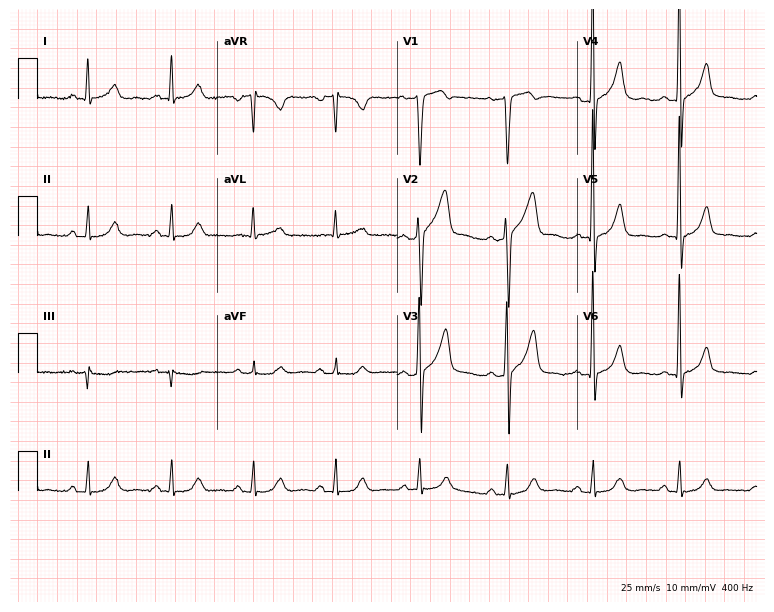
Electrocardiogram, a 51-year-old man. Overall reading on record: normal ECG.